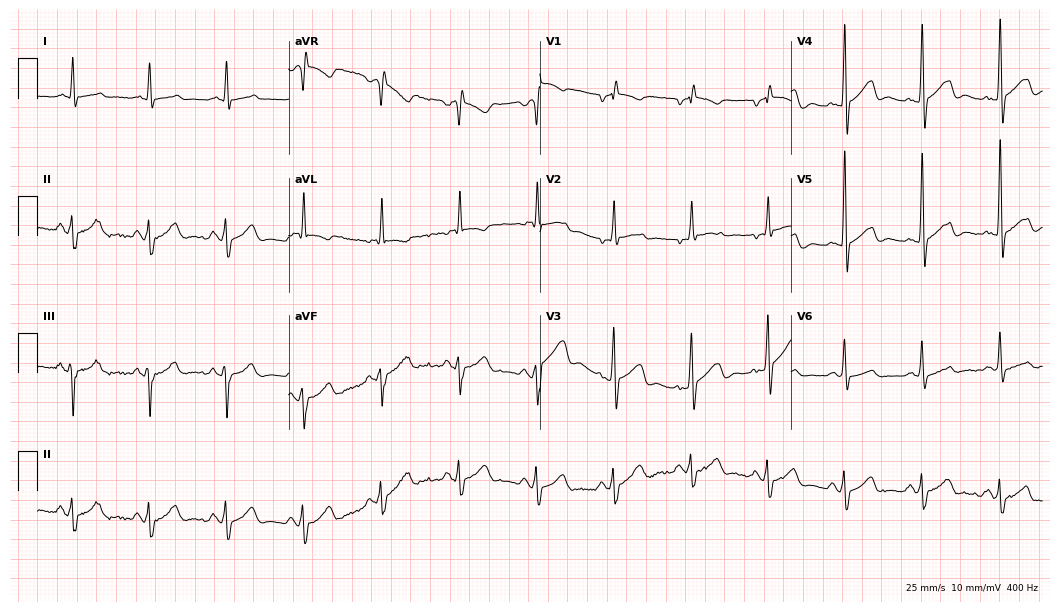
Resting 12-lead electrocardiogram. Patient: a man, 60 years old. None of these six findings is recorded: first-degree AV block, right bundle branch block, left bundle branch block, sinus bradycardia, atrial fibrillation, sinus tachycardia.